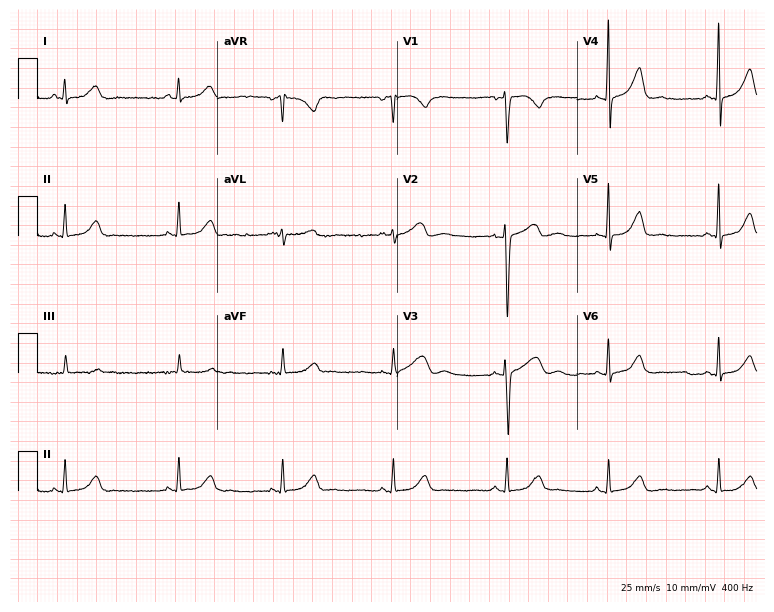
12-lead ECG (7.3-second recording at 400 Hz) from a female patient, 23 years old. Labelled as a normal ECG.